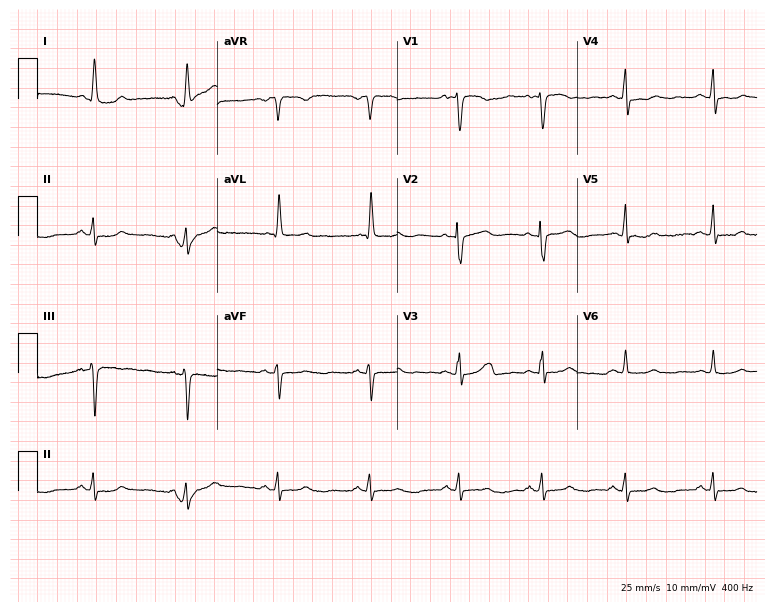
Electrocardiogram, a female, 69 years old. Of the six screened findings (first-degree AV block, right bundle branch block (RBBB), left bundle branch block (LBBB), sinus bradycardia, atrial fibrillation (AF), sinus tachycardia), none is recorded.